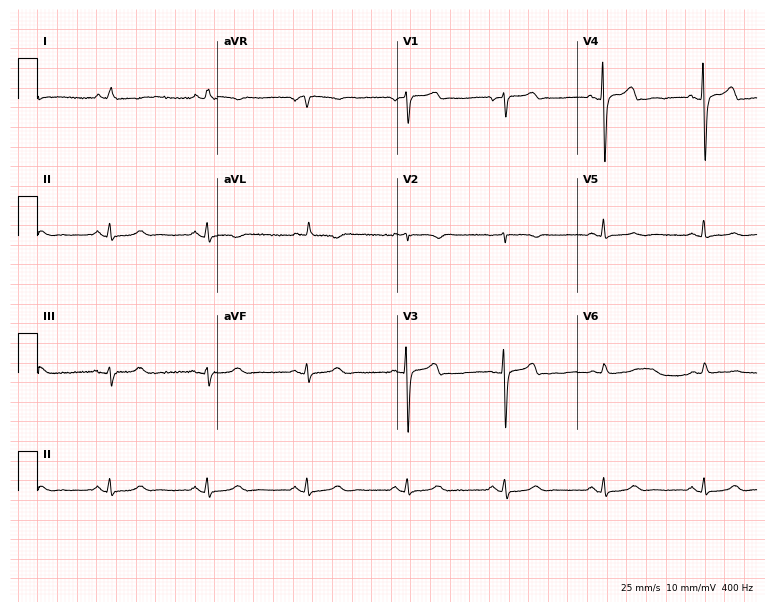
Resting 12-lead electrocardiogram (7.3-second recording at 400 Hz). Patient: a 78-year-old woman. None of these six findings is recorded: first-degree AV block, right bundle branch block (RBBB), left bundle branch block (LBBB), sinus bradycardia, atrial fibrillation (AF), sinus tachycardia. Findings outside these six are not listed.